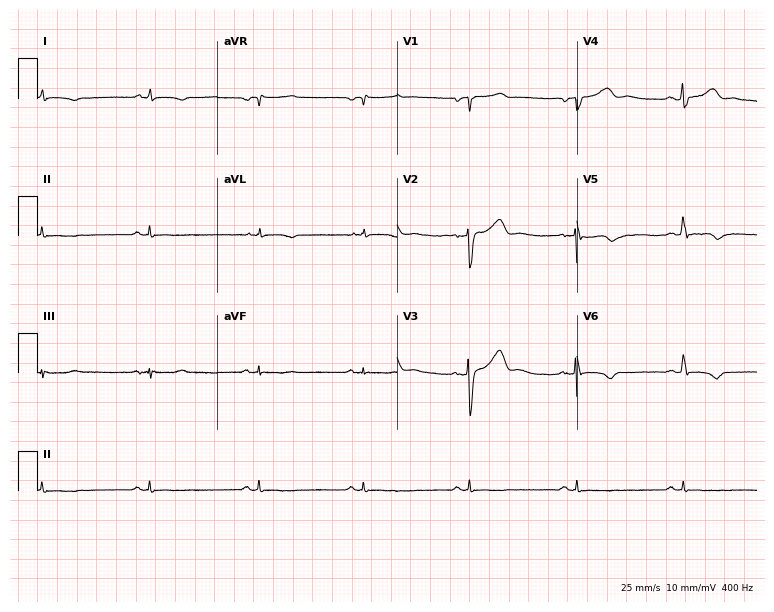
Electrocardiogram, a male patient, 54 years old. Of the six screened findings (first-degree AV block, right bundle branch block, left bundle branch block, sinus bradycardia, atrial fibrillation, sinus tachycardia), none is recorded.